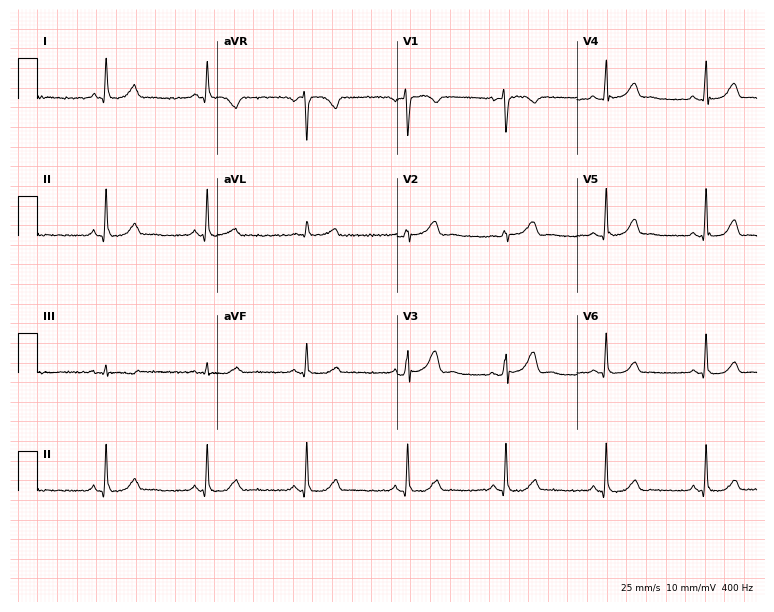
12-lead ECG from a 52-year-old woman. Labelled as a normal ECG.